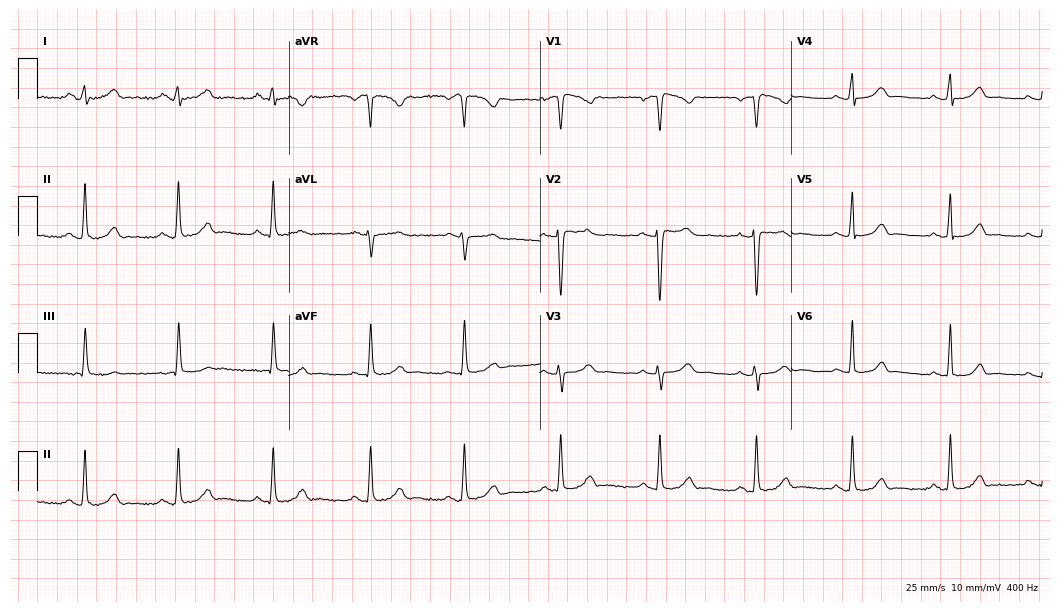
12-lead ECG (10.2-second recording at 400 Hz) from a 37-year-old female. Labelled as a normal ECG.